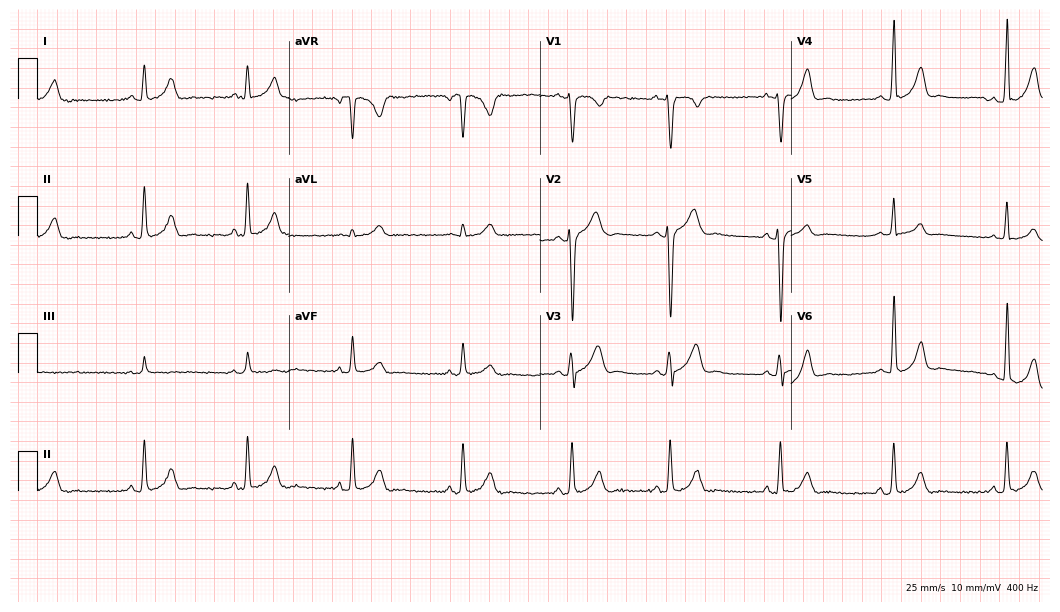
Standard 12-lead ECG recorded from a male patient, 22 years old (10.2-second recording at 400 Hz). None of these six findings is recorded: first-degree AV block, right bundle branch block, left bundle branch block, sinus bradycardia, atrial fibrillation, sinus tachycardia. Only these six findings were labelled.